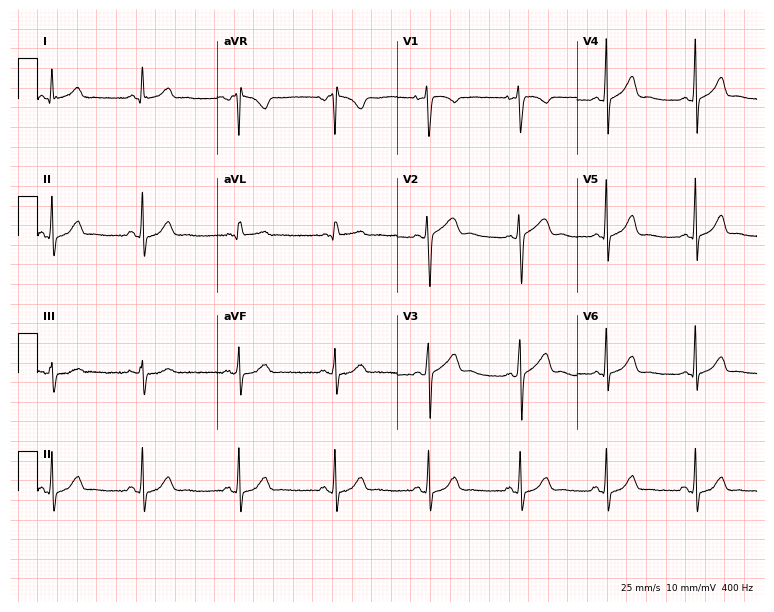
Electrocardiogram, a female, 28 years old. Overall reading on record: normal ECG.